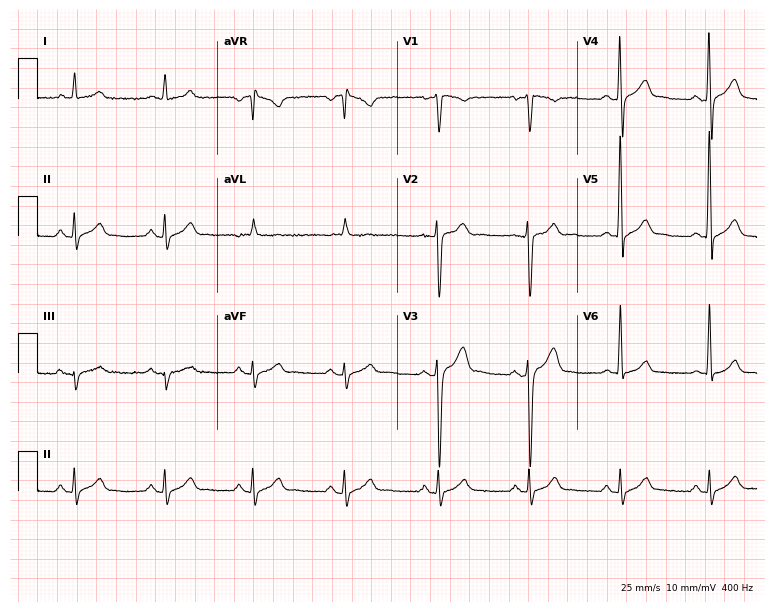
ECG — a 24-year-old man. Labelled as a normal ECG.